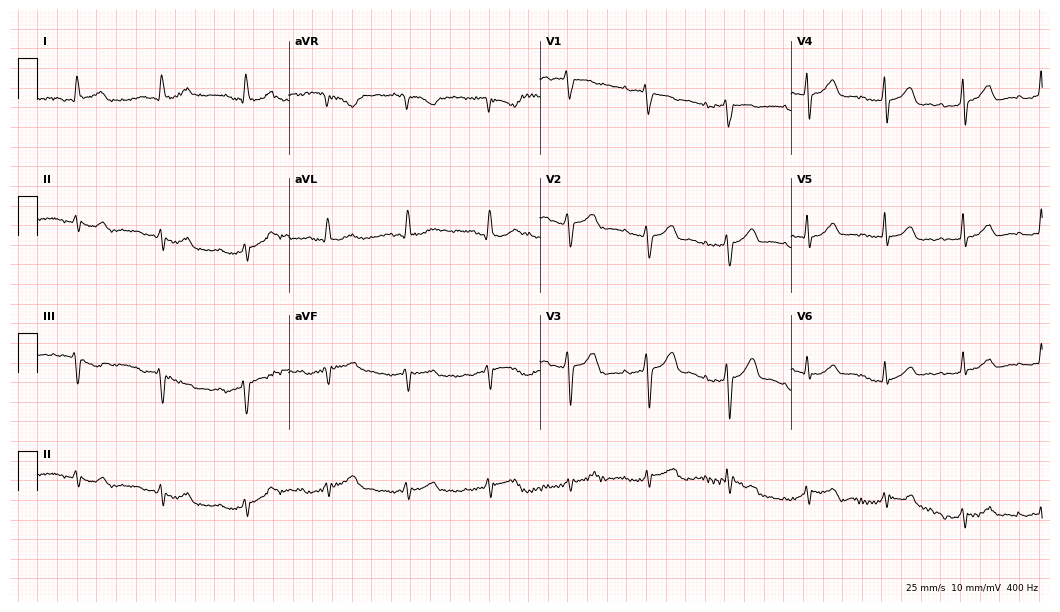
12-lead ECG from a 77-year-old woman (10.2-second recording at 400 Hz). No first-degree AV block, right bundle branch block (RBBB), left bundle branch block (LBBB), sinus bradycardia, atrial fibrillation (AF) or sinus tachycardia recorded for this tracing.